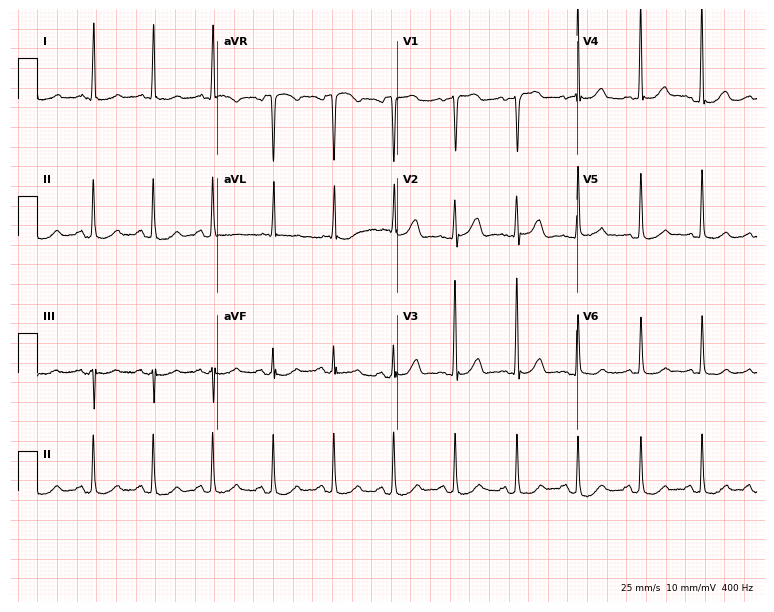
12-lead ECG (7.3-second recording at 400 Hz) from a 58-year-old female. Labelled as a normal ECG.